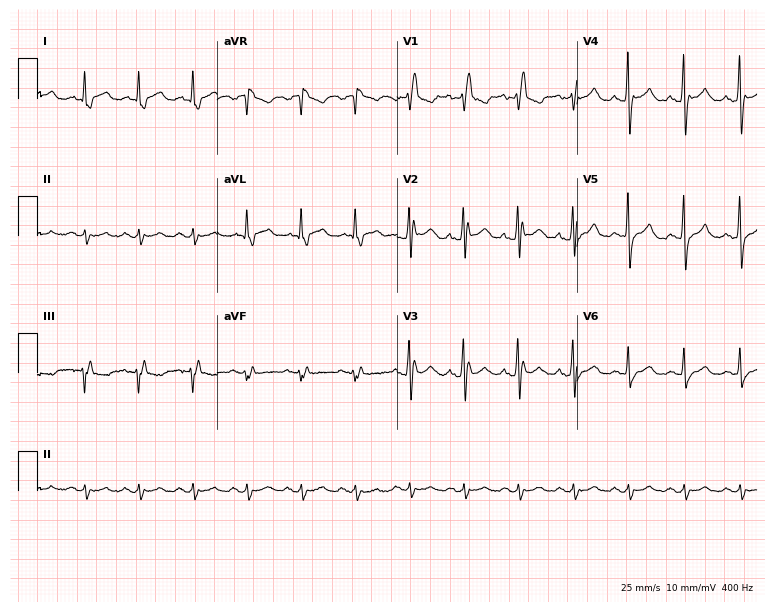
12-lead ECG (7.3-second recording at 400 Hz) from a man, 64 years old. Screened for six findings — first-degree AV block, right bundle branch block, left bundle branch block, sinus bradycardia, atrial fibrillation, sinus tachycardia — none is recorded.